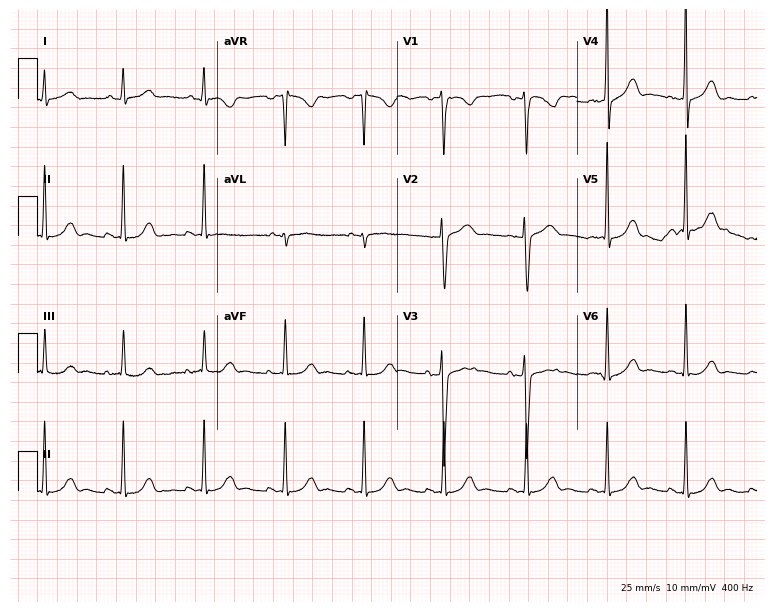
ECG (7.3-second recording at 400 Hz) — a female patient, 39 years old. Labelled as a normal ECG.